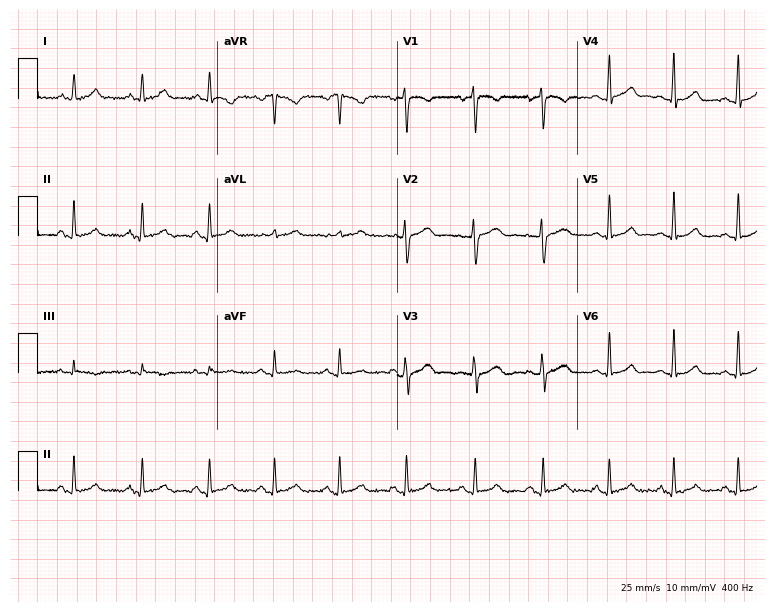
ECG (7.3-second recording at 400 Hz) — a female patient, 31 years old. Screened for six findings — first-degree AV block, right bundle branch block, left bundle branch block, sinus bradycardia, atrial fibrillation, sinus tachycardia — none is recorded.